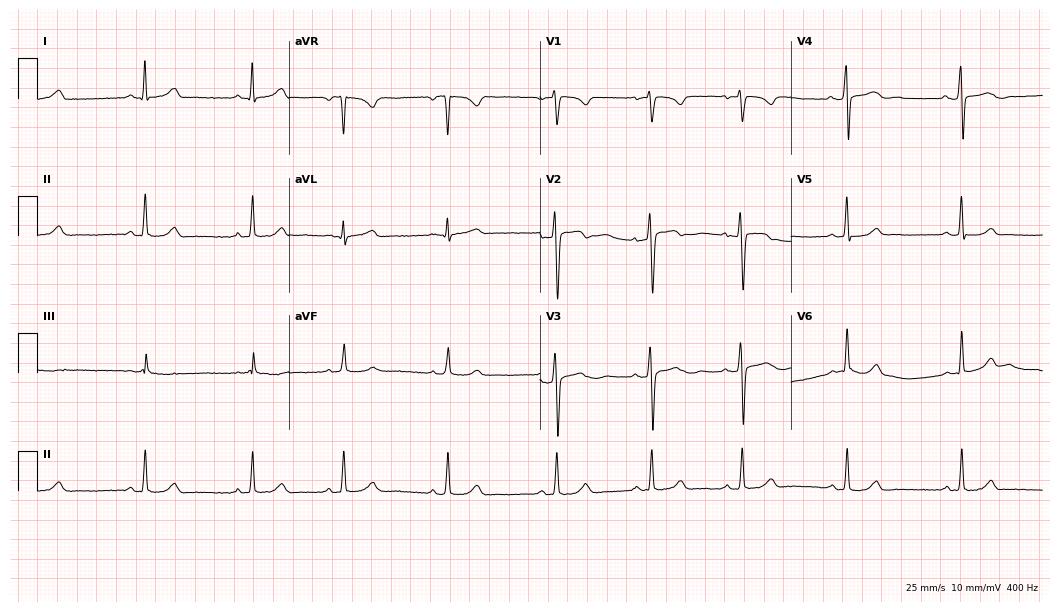
Resting 12-lead electrocardiogram. Patient: a 28-year-old woman. Read as a normal ECG.